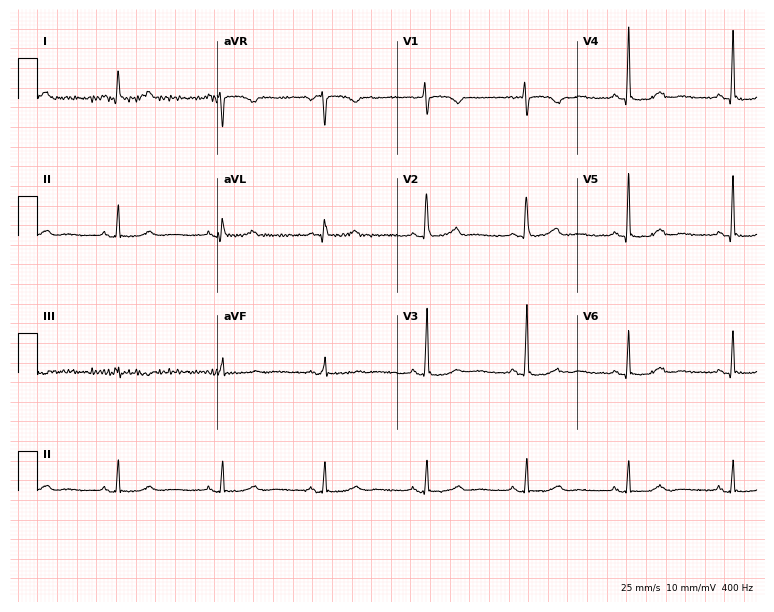
ECG — a 60-year-old female. Screened for six findings — first-degree AV block, right bundle branch block, left bundle branch block, sinus bradycardia, atrial fibrillation, sinus tachycardia — none is recorded. Only these six findings were labelled.